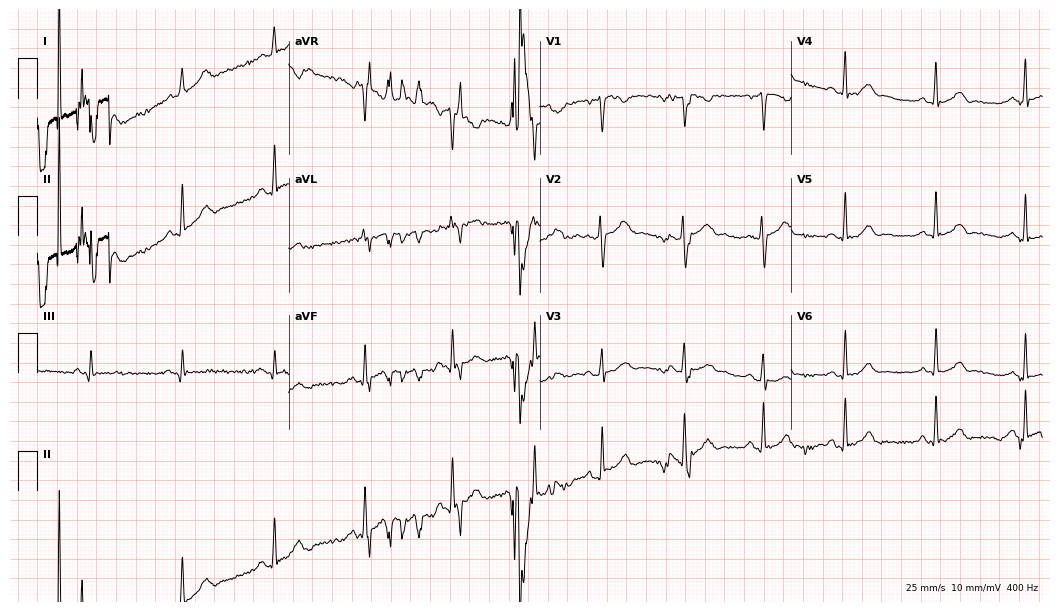
12-lead ECG from a female patient, 17 years old (10.2-second recording at 400 Hz). No first-degree AV block, right bundle branch block, left bundle branch block, sinus bradycardia, atrial fibrillation or sinus tachycardia recorded for this tracing. Other findings, if any, are not listed.